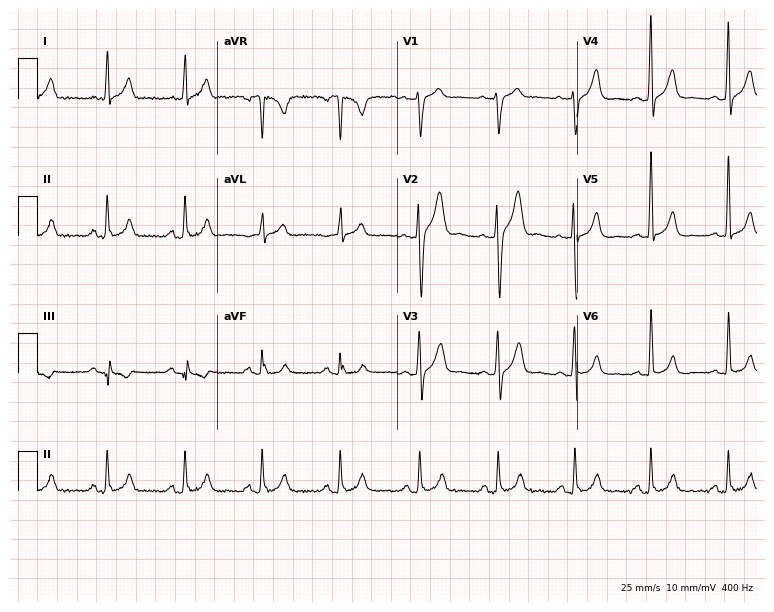
12-lead ECG from a 39-year-old male patient. Labelled as a normal ECG.